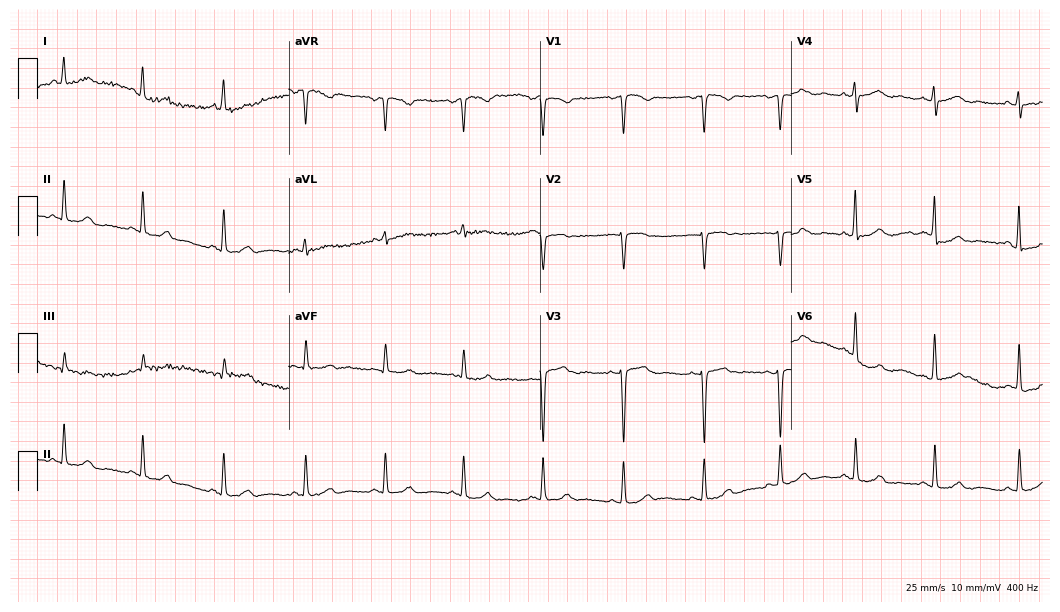
Electrocardiogram (10.2-second recording at 400 Hz), a 44-year-old female patient. Of the six screened findings (first-degree AV block, right bundle branch block, left bundle branch block, sinus bradycardia, atrial fibrillation, sinus tachycardia), none is recorded.